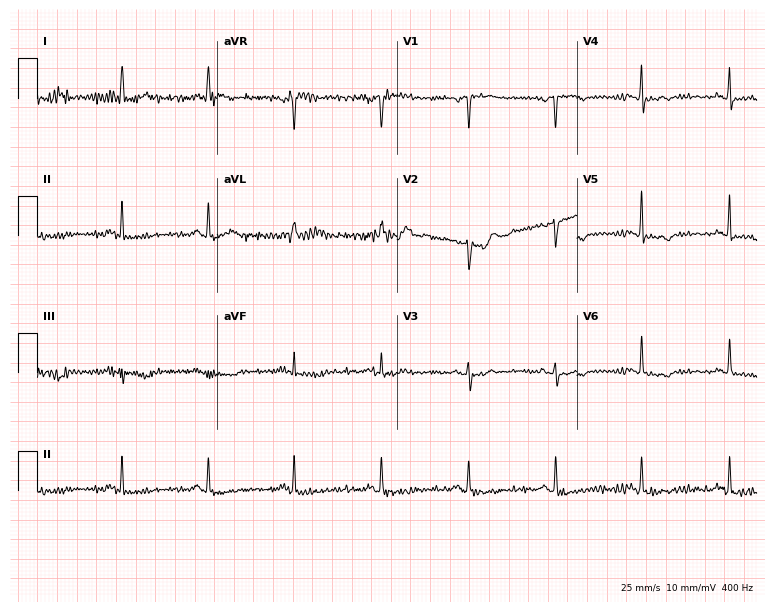
Resting 12-lead electrocardiogram (7.3-second recording at 400 Hz). Patient: a female, 70 years old. None of these six findings is recorded: first-degree AV block, right bundle branch block, left bundle branch block, sinus bradycardia, atrial fibrillation, sinus tachycardia. Only these six findings were labelled.